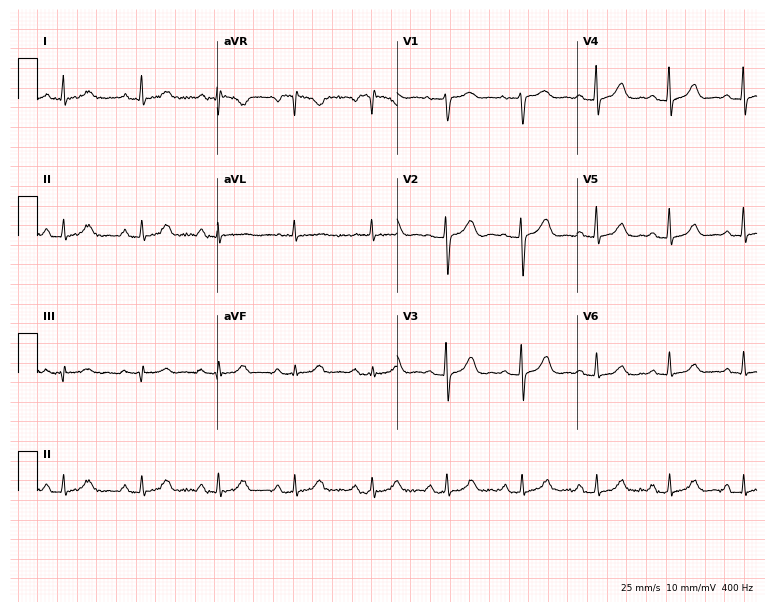
12-lead ECG from a 78-year-old female patient. Recorded interpretation: within normal limits.